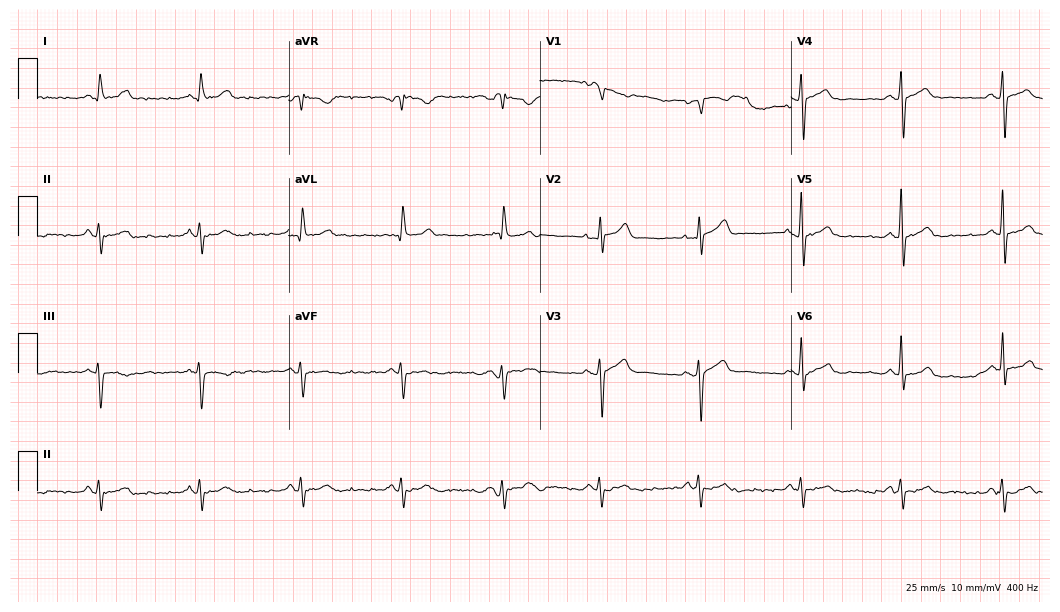
ECG — a male patient, 66 years old. Screened for six findings — first-degree AV block, right bundle branch block (RBBB), left bundle branch block (LBBB), sinus bradycardia, atrial fibrillation (AF), sinus tachycardia — none is recorded. Other findings, if any, are not listed.